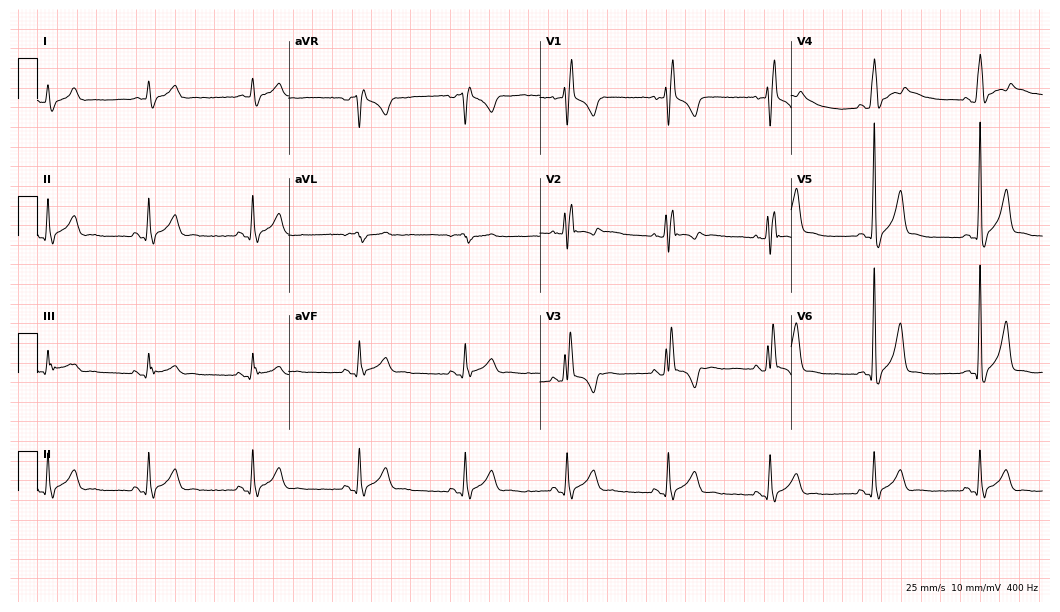
12-lead ECG from a 38-year-old male. Findings include right bundle branch block.